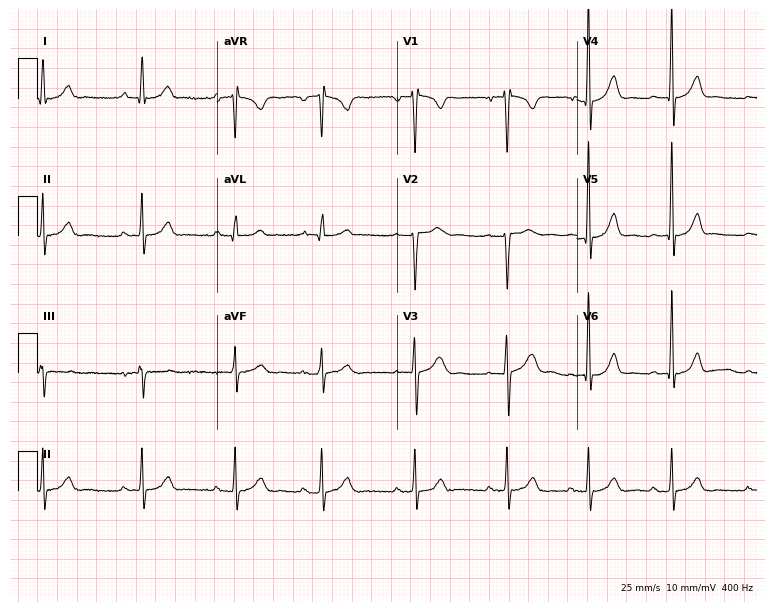
12-lead ECG (7.3-second recording at 400 Hz) from a man, 21 years old. Screened for six findings — first-degree AV block, right bundle branch block (RBBB), left bundle branch block (LBBB), sinus bradycardia, atrial fibrillation (AF), sinus tachycardia — none is recorded. Only these six findings were labelled.